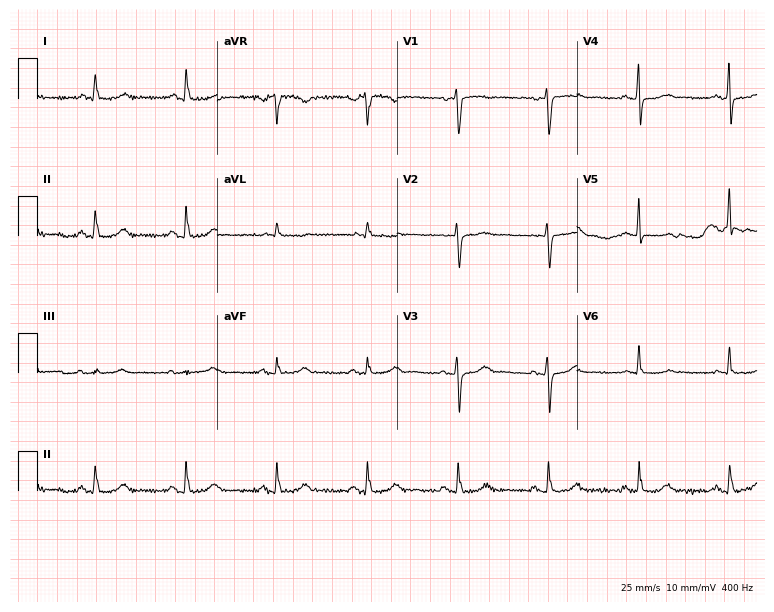
12-lead ECG (7.3-second recording at 400 Hz) from a female, 56 years old. Screened for six findings — first-degree AV block, right bundle branch block, left bundle branch block, sinus bradycardia, atrial fibrillation, sinus tachycardia — none is recorded.